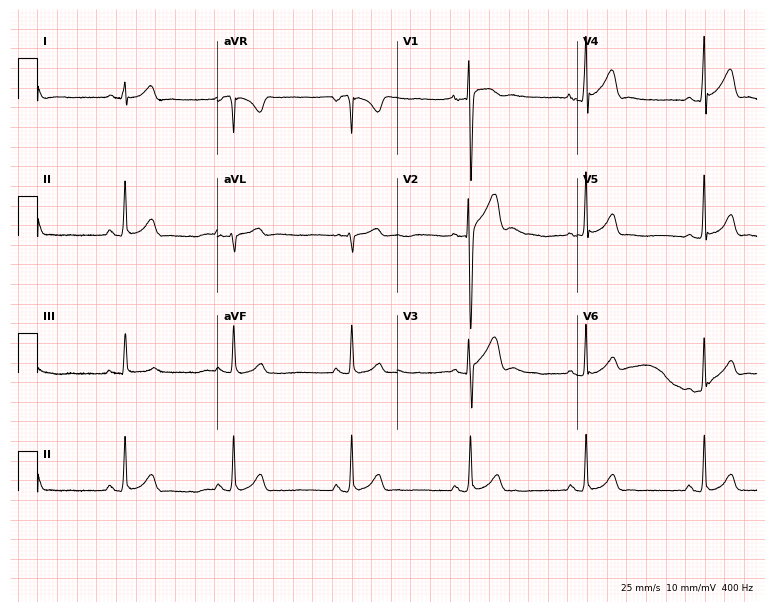
Resting 12-lead electrocardiogram. Patient: an 18-year-old male. None of these six findings is recorded: first-degree AV block, right bundle branch block, left bundle branch block, sinus bradycardia, atrial fibrillation, sinus tachycardia.